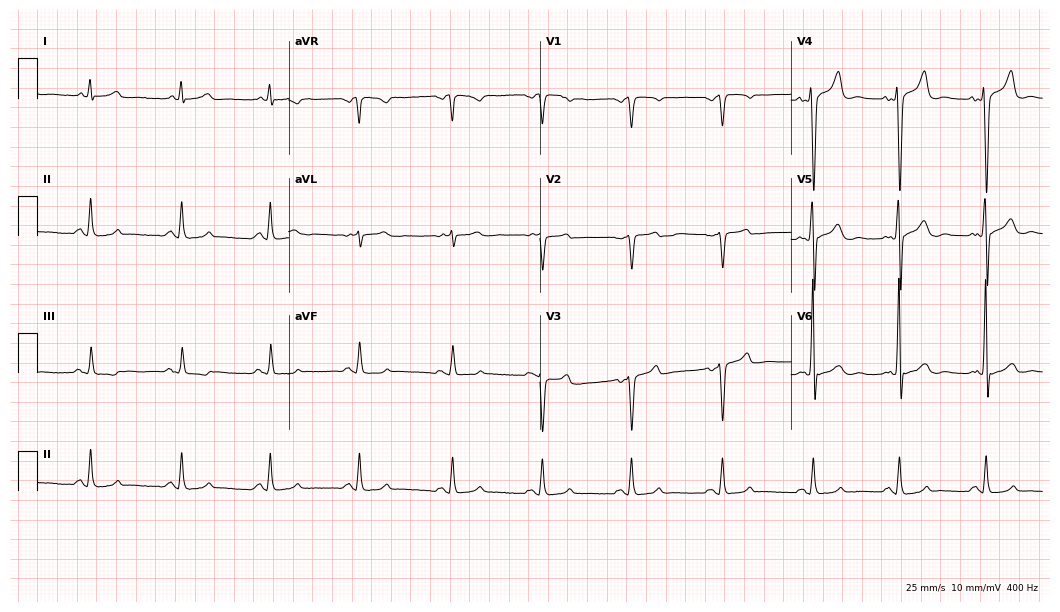
12-lead ECG from a male, 51 years old. No first-degree AV block, right bundle branch block, left bundle branch block, sinus bradycardia, atrial fibrillation or sinus tachycardia recorded for this tracing. Other findings, if any, are not listed.